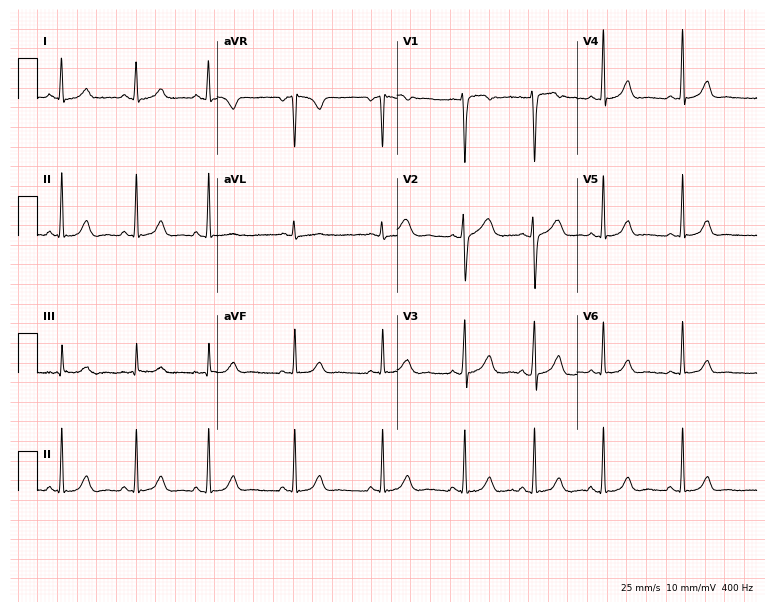
ECG — a 20-year-old female patient. Labelled as a normal ECG.